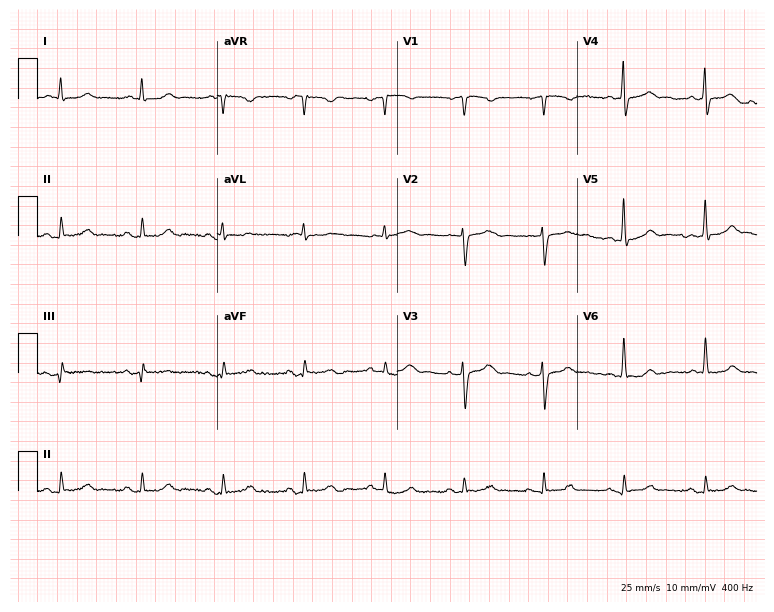
Electrocardiogram (7.3-second recording at 400 Hz), a male patient, 69 years old. Overall reading on record: normal ECG.